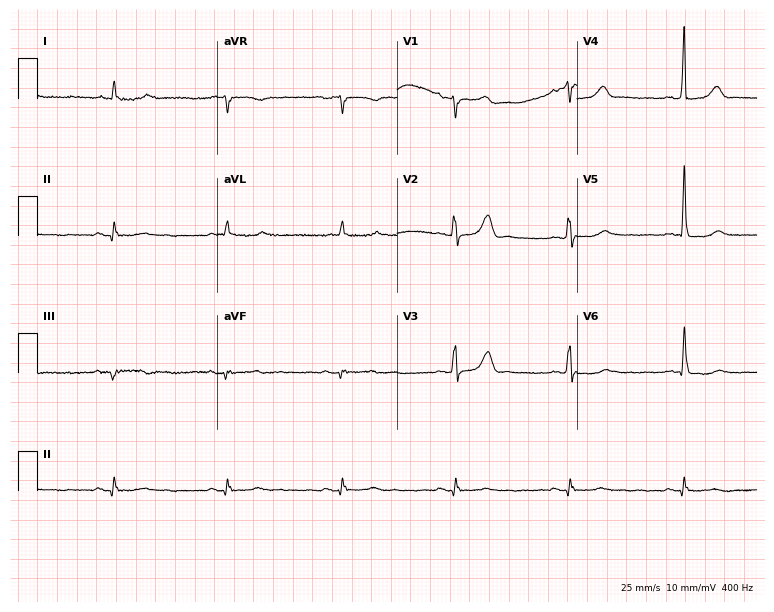
Standard 12-lead ECG recorded from a 75-year-old male. None of these six findings is recorded: first-degree AV block, right bundle branch block, left bundle branch block, sinus bradycardia, atrial fibrillation, sinus tachycardia. Findings outside these six are not listed.